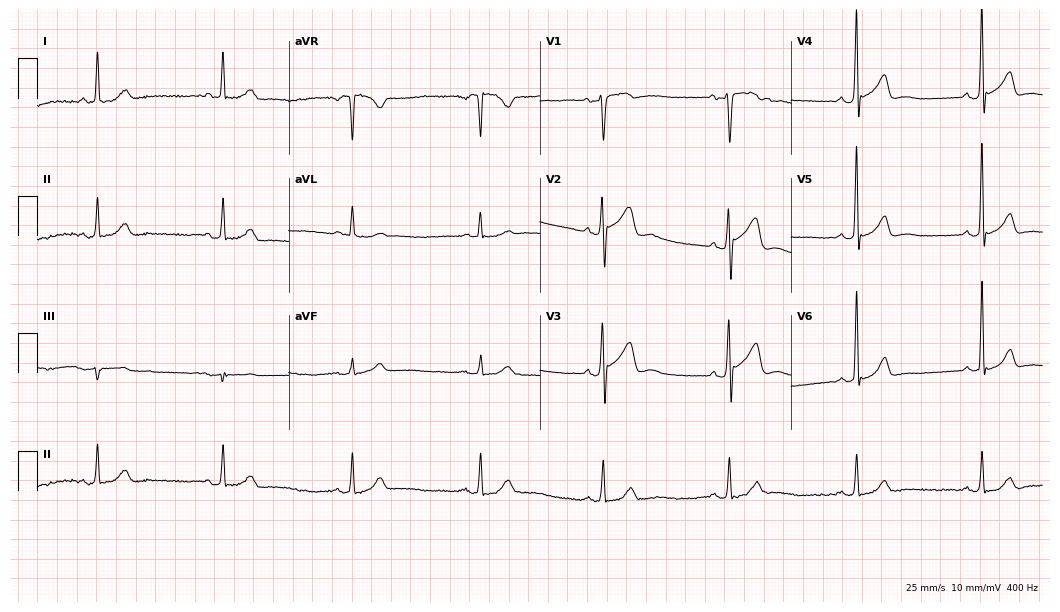
Electrocardiogram (10.2-second recording at 400 Hz), a 54-year-old male. Interpretation includes sinus bradycardia (a sinus rate of 50 beats per minute or less).